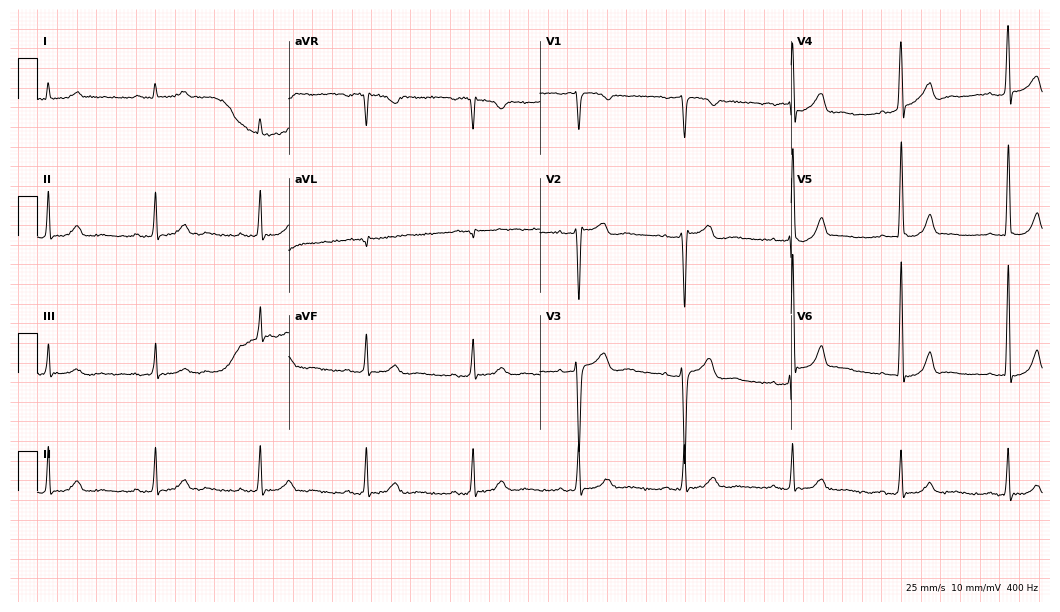
Resting 12-lead electrocardiogram (10.2-second recording at 400 Hz). Patient: a male, 40 years old. None of these six findings is recorded: first-degree AV block, right bundle branch block, left bundle branch block, sinus bradycardia, atrial fibrillation, sinus tachycardia. Findings outside these six are not listed.